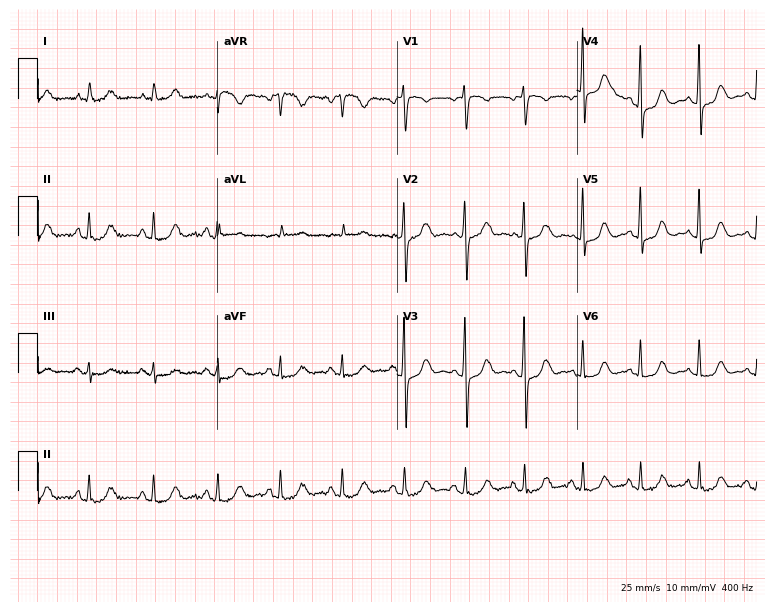
12-lead ECG from a 56-year-old female patient. No first-degree AV block, right bundle branch block, left bundle branch block, sinus bradycardia, atrial fibrillation or sinus tachycardia recorded for this tracing.